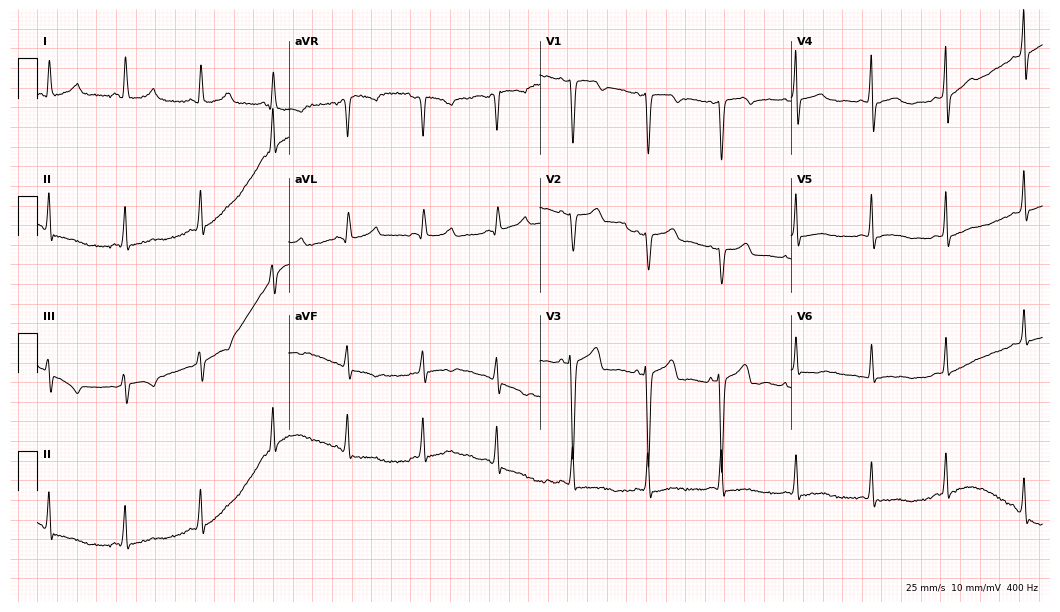
12-lead ECG from a 35-year-old woman. Screened for six findings — first-degree AV block, right bundle branch block (RBBB), left bundle branch block (LBBB), sinus bradycardia, atrial fibrillation (AF), sinus tachycardia — none is recorded. Other findings, if any, are not listed.